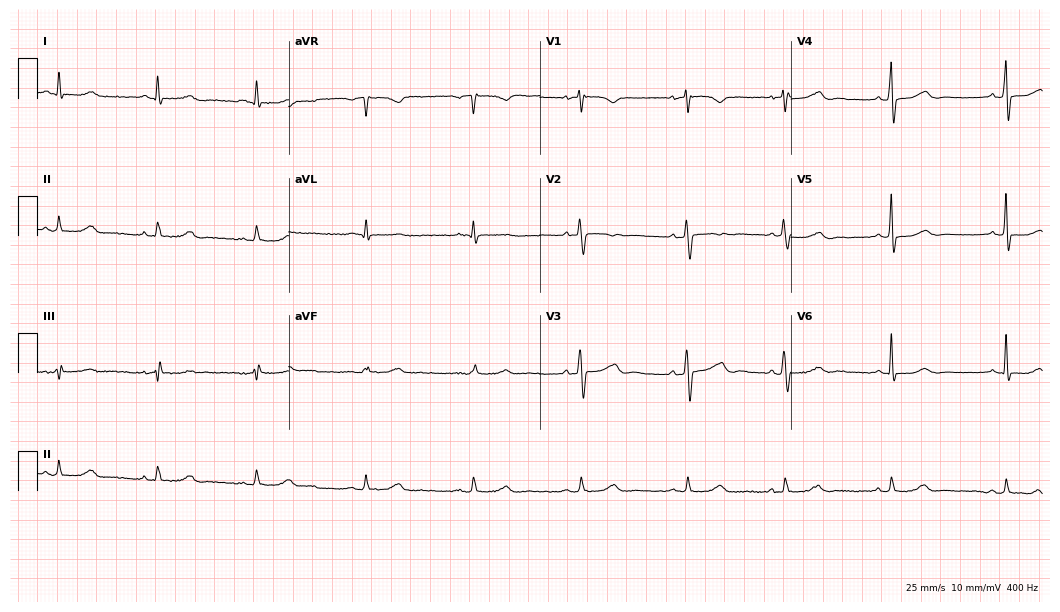
ECG — a 78-year-old male. Screened for six findings — first-degree AV block, right bundle branch block, left bundle branch block, sinus bradycardia, atrial fibrillation, sinus tachycardia — none is recorded. Other findings, if any, are not listed.